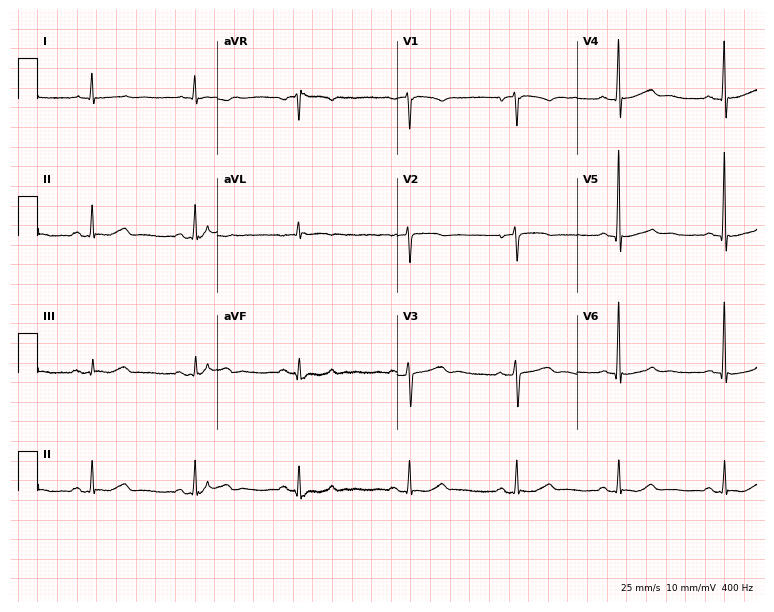
12-lead ECG from a female, 80 years old. Recorded interpretation: within normal limits.